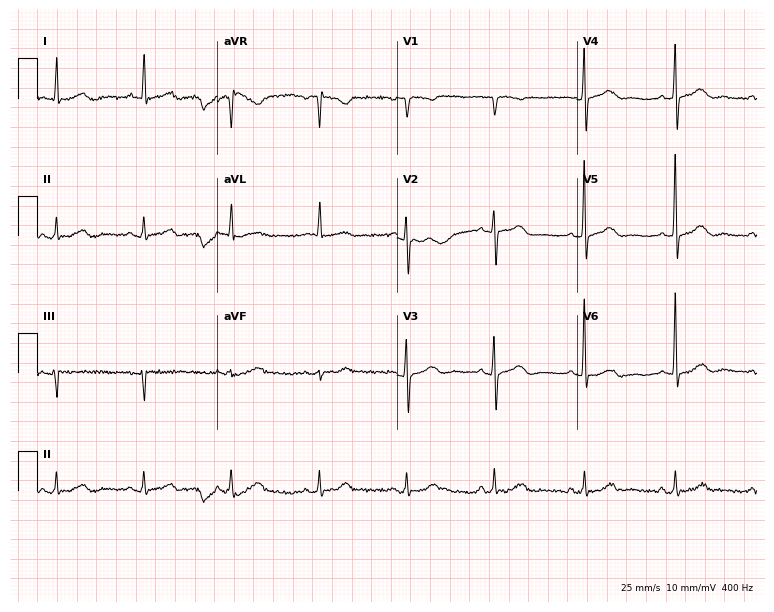
Standard 12-lead ECG recorded from a woman, 84 years old. None of these six findings is recorded: first-degree AV block, right bundle branch block, left bundle branch block, sinus bradycardia, atrial fibrillation, sinus tachycardia. Findings outside these six are not listed.